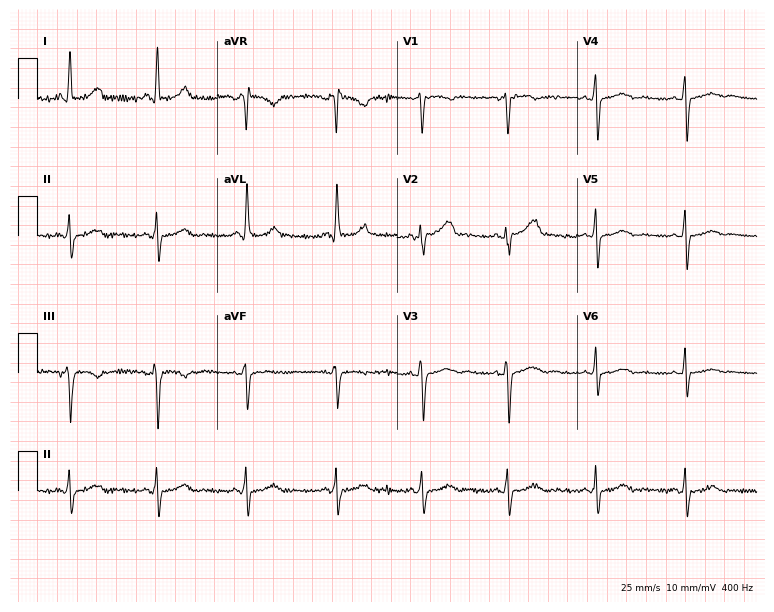
12-lead ECG from a 53-year-old woman. No first-degree AV block, right bundle branch block (RBBB), left bundle branch block (LBBB), sinus bradycardia, atrial fibrillation (AF) or sinus tachycardia recorded for this tracing.